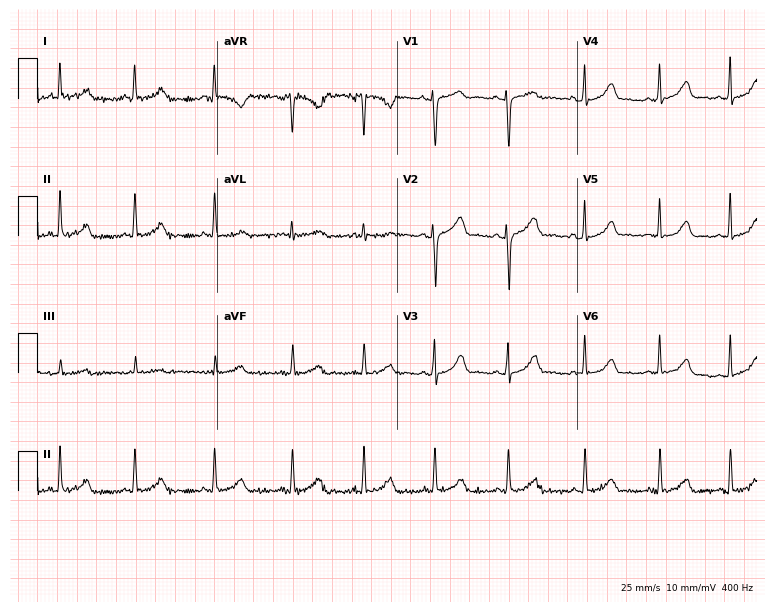
Electrocardiogram, a 33-year-old female. Of the six screened findings (first-degree AV block, right bundle branch block (RBBB), left bundle branch block (LBBB), sinus bradycardia, atrial fibrillation (AF), sinus tachycardia), none is recorded.